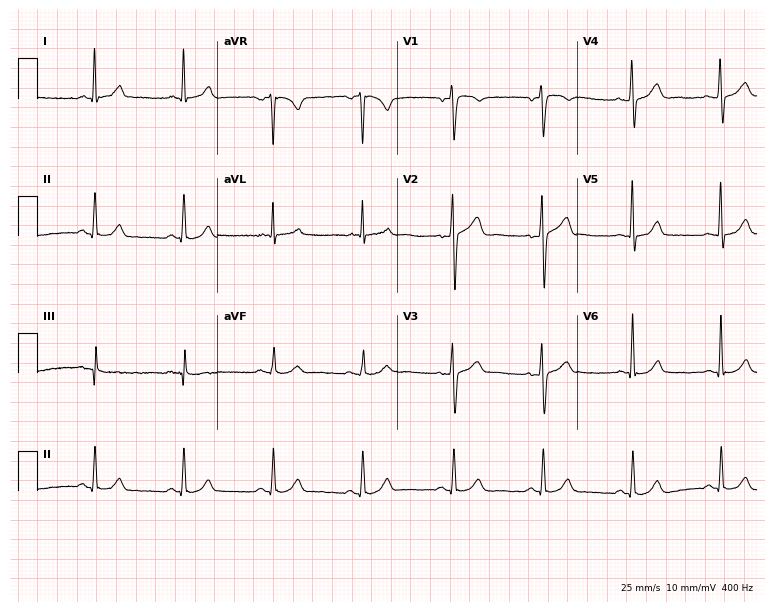
Resting 12-lead electrocardiogram (7.3-second recording at 400 Hz). Patient: a 65-year-old man. Read as a normal ECG.